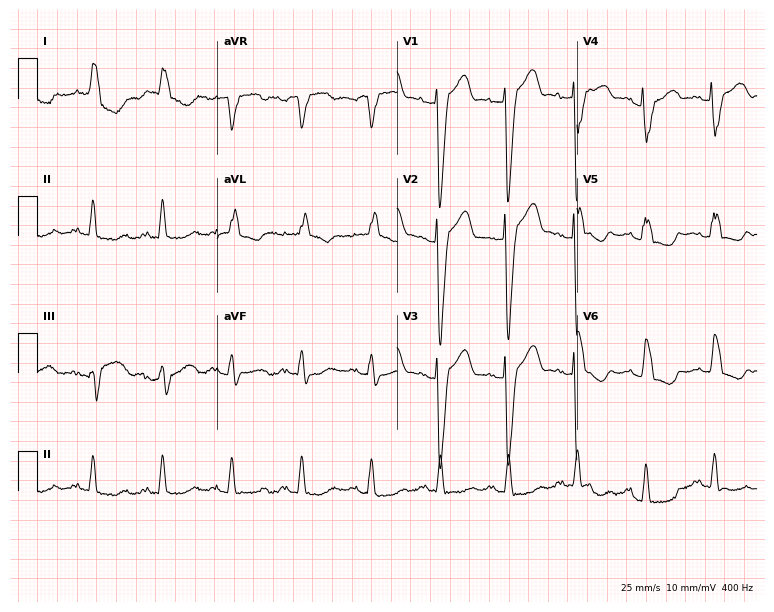
12-lead ECG (7.3-second recording at 400 Hz) from a 76-year-old male. Findings include left bundle branch block.